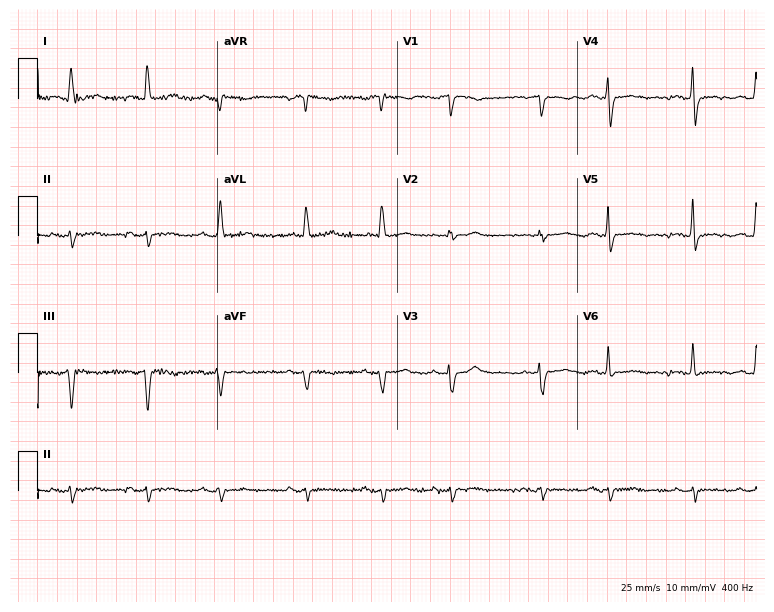
Standard 12-lead ECG recorded from a 75-year-old female (7.3-second recording at 400 Hz). None of these six findings is recorded: first-degree AV block, right bundle branch block, left bundle branch block, sinus bradycardia, atrial fibrillation, sinus tachycardia. Other findings, if any, are not listed.